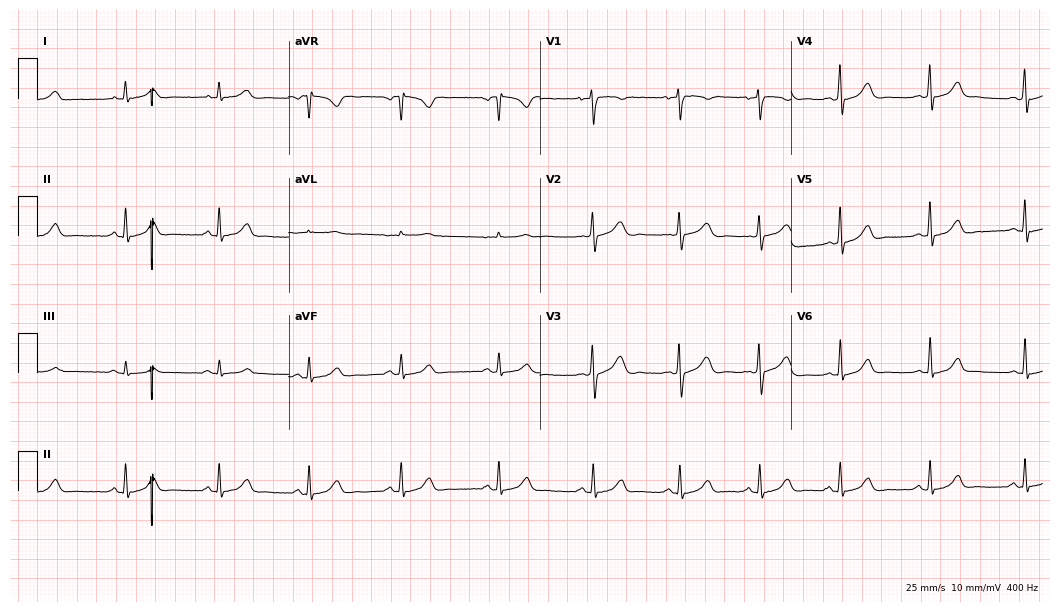
12-lead ECG from a 39-year-old female patient. Labelled as a normal ECG.